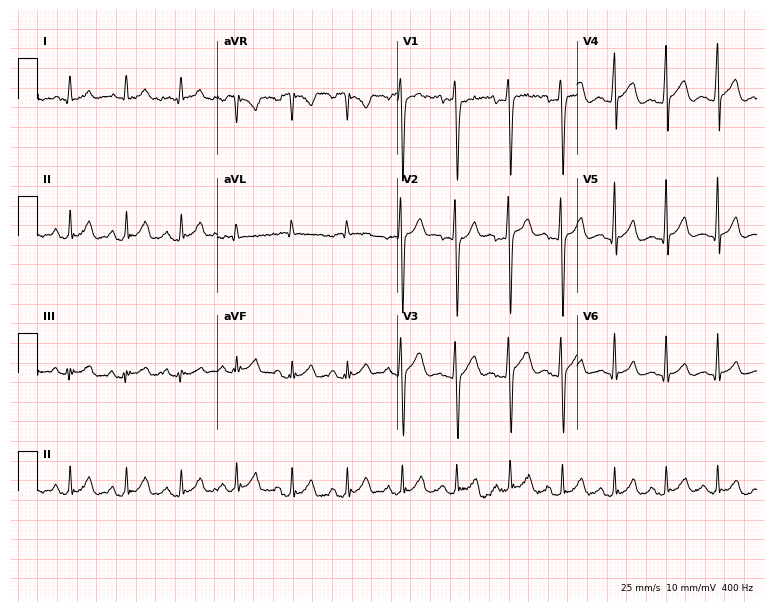
12-lead ECG from a 28-year-old man. Findings include sinus tachycardia (a sinus rate of 100 beats per minute or more).